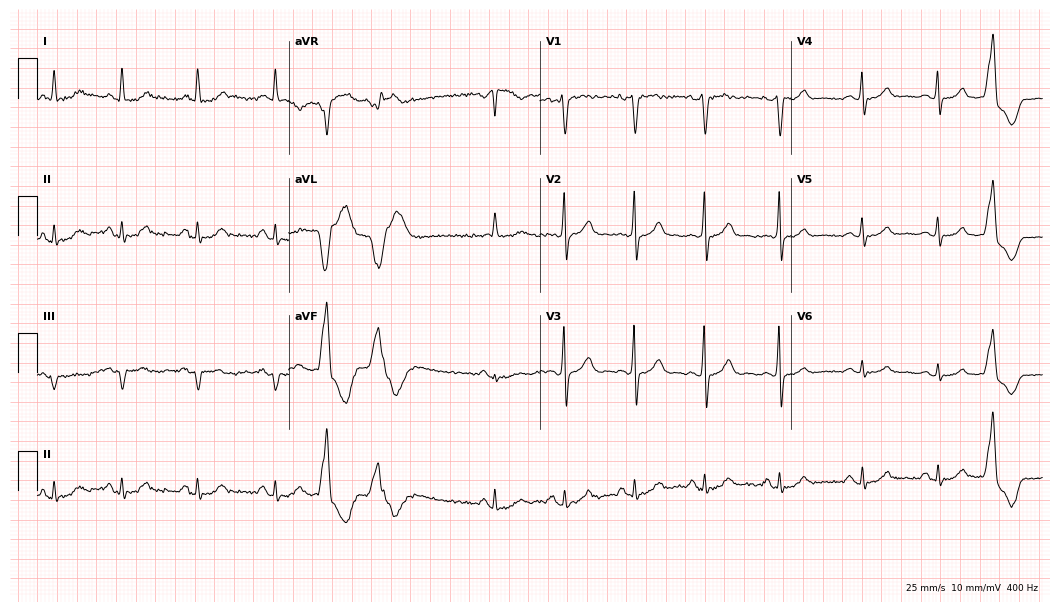
Resting 12-lead electrocardiogram (10.2-second recording at 400 Hz). Patient: a 39-year-old female. Read as a normal ECG.